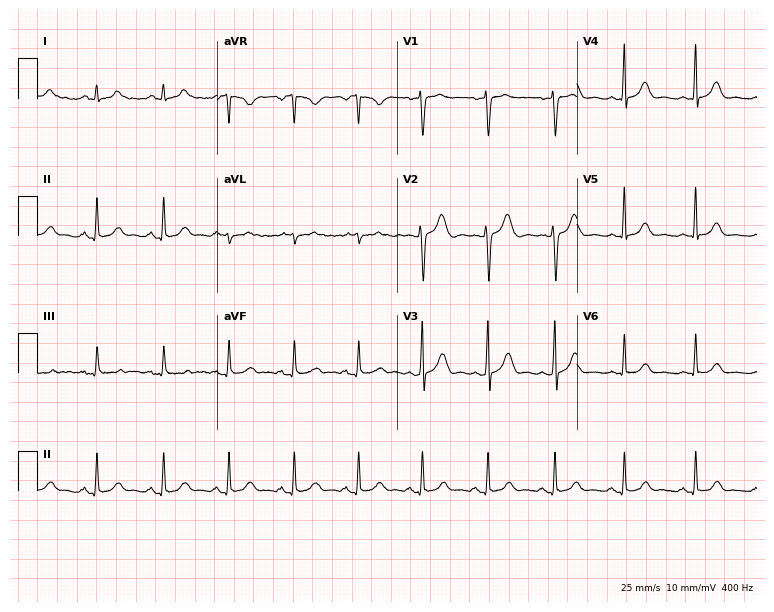
ECG — a female patient, 33 years old. Labelled as a normal ECG.